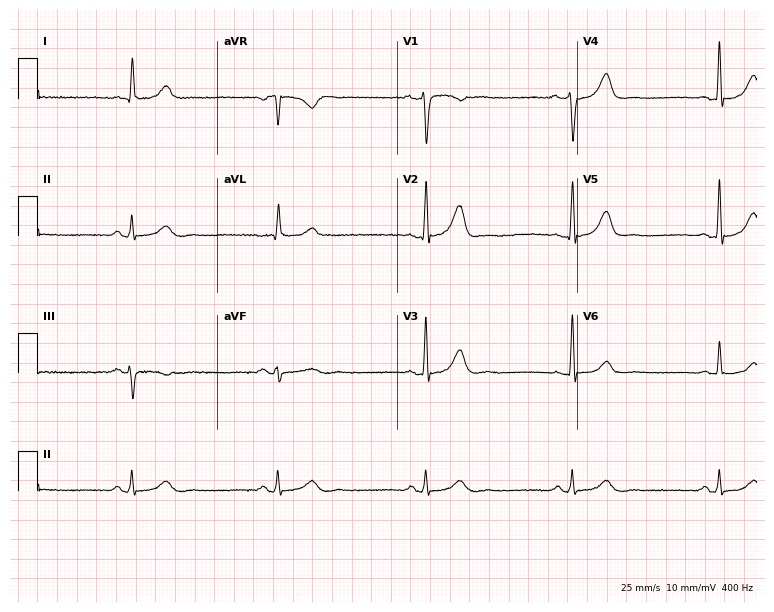
ECG — a male, 72 years old. Screened for six findings — first-degree AV block, right bundle branch block, left bundle branch block, sinus bradycardia, atrial fibrillation, sinus tachycardia — none is recorded.